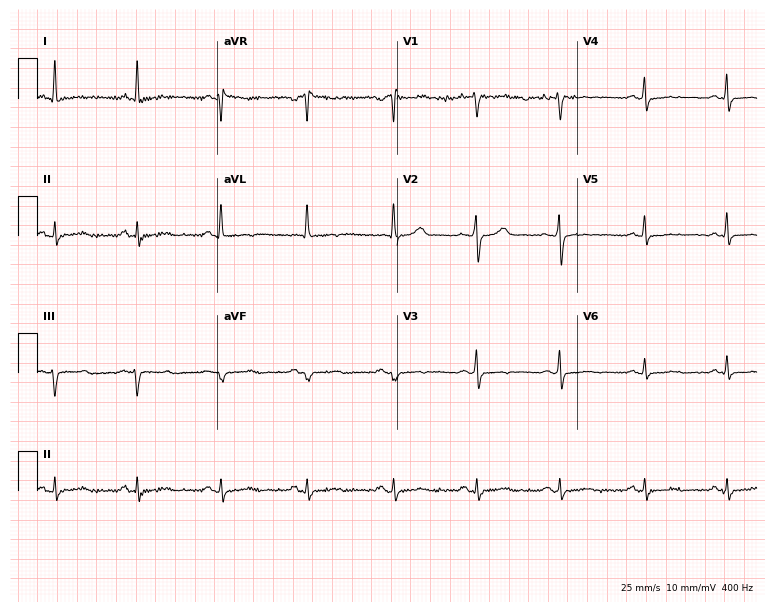
12-lead ECG from a 55-year-old female (7.3-second recording at 400 Hz). No first-degree AV block, right bundle branch block, left bundle branch block, sinus bradycardia, atrial fibrillation or sinus tachycardia recorded for this tracing.